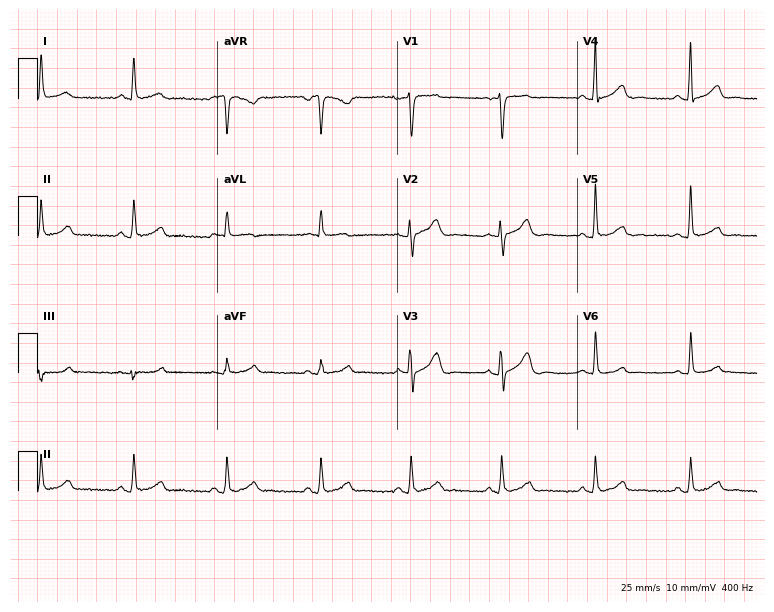
Electrocardiogram (7.3-second recording at 400 Hz), a woman, 54 years old. Overall reading on record: normal ECG.